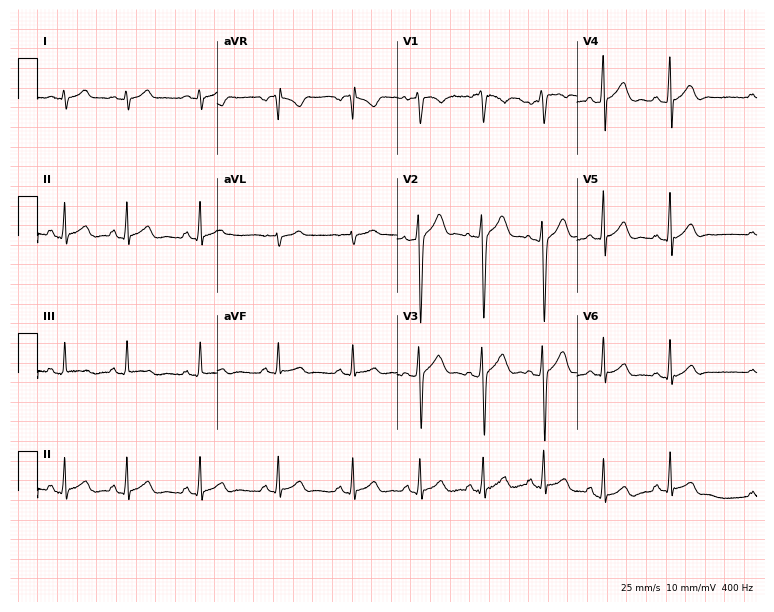
Resting 12-lead electrocardiogram (7.3-second recording at 400 Hz). Patient: a 24-year-old male. Read as a normal ECG.